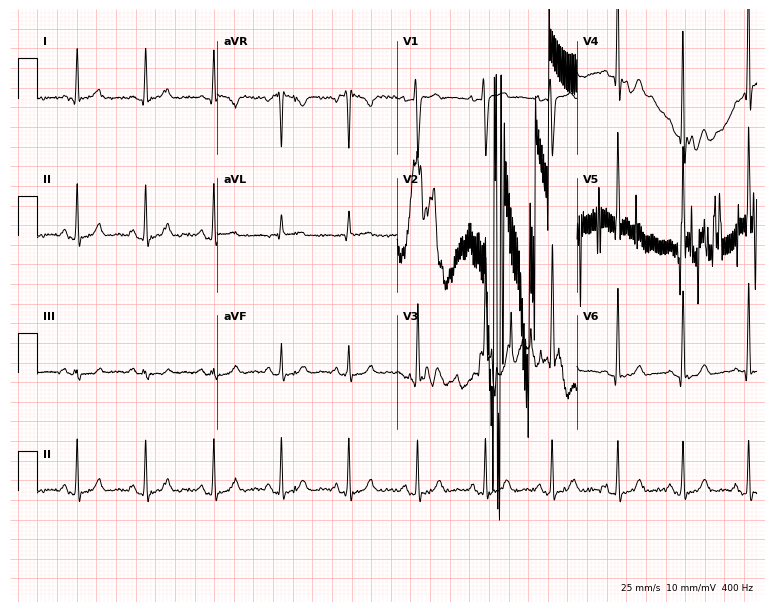
12-lead ECG (7.3-second recording at 400 Hz) from a man, 39 years old. Screened for six findings — first-degree AV block, right bundle branch block, left bundle branch block, sinus bradycardia, atrial fibrillation, sinus tachycardia — none is recorded.